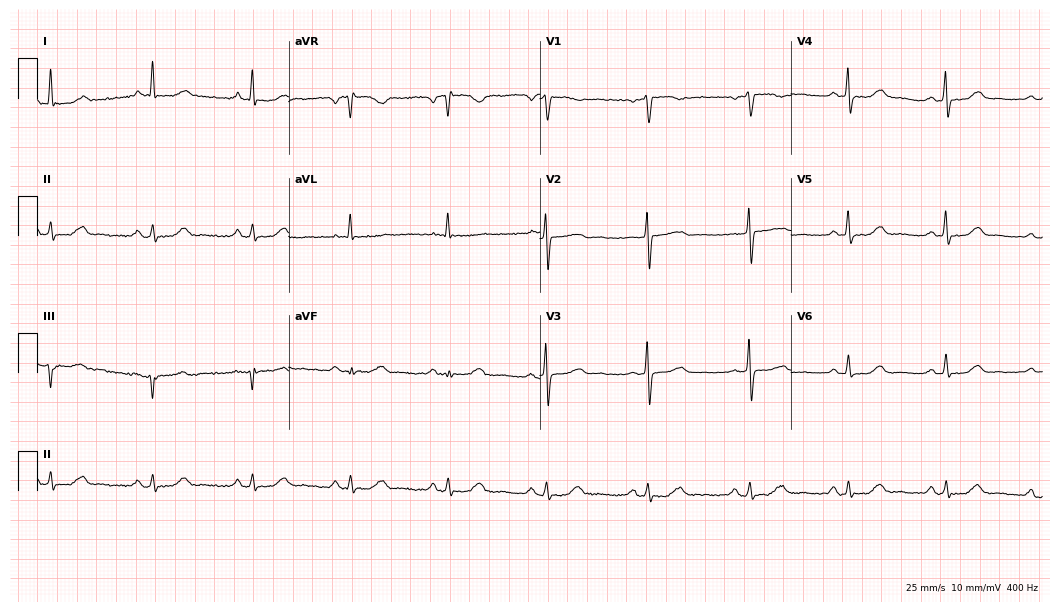
ECG — a woman, 59 years old. Screened for six findings — first-degree AV block, right bundle branch block, left bundle branch block, sinus bradycardia, atrial fibrillation, sinus tachycardia — none is recorded.